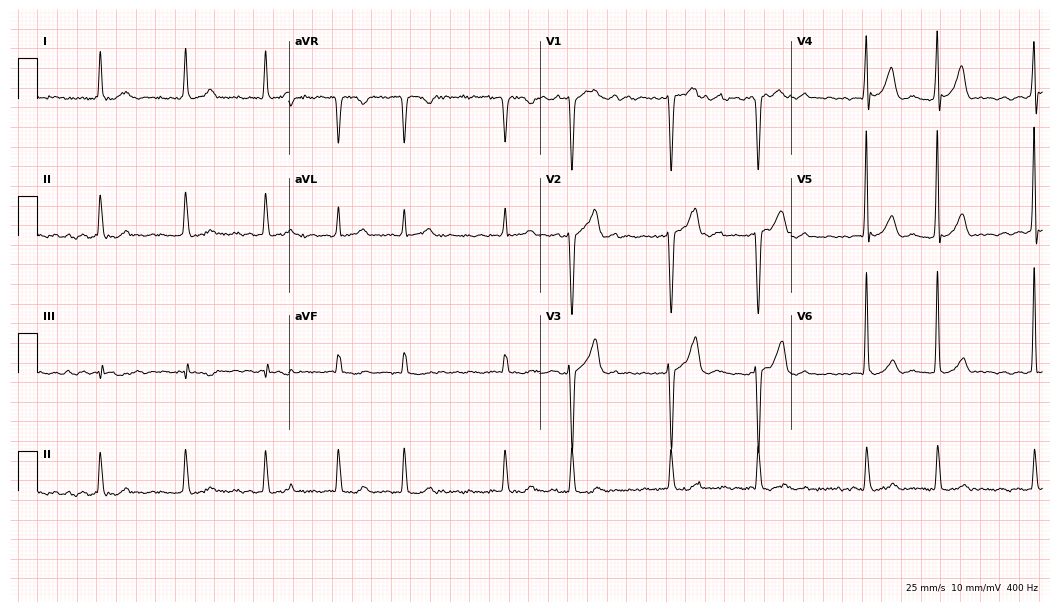
Resting 12-lead electrocardiogram (10.2-second recording at 400 Hz). Patient: a 70-year-old man. The tracing shows atrial fibrillation.